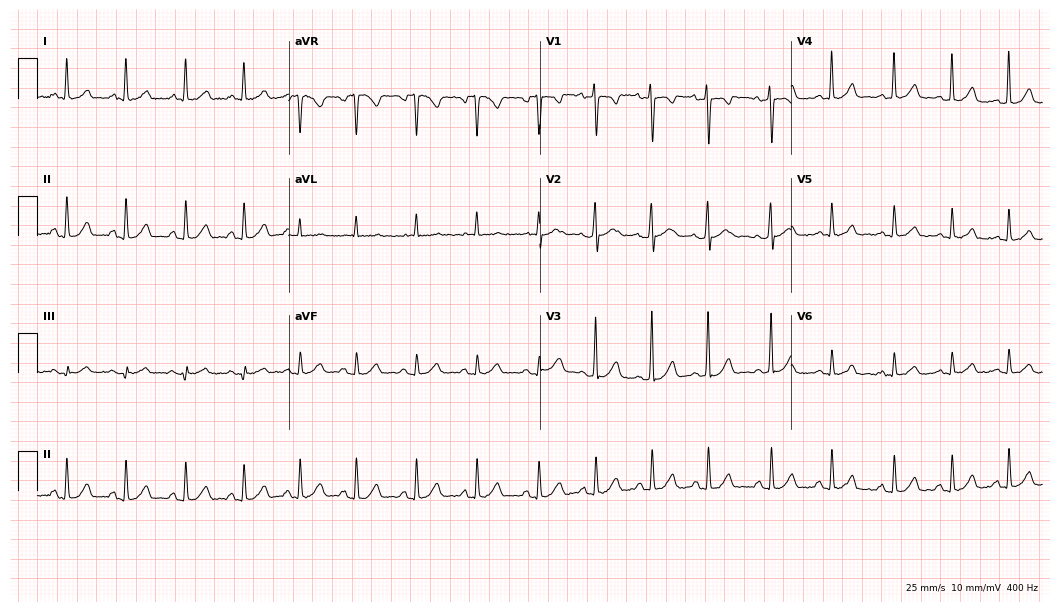
Resting 12-lead electrocardiogram. Patient: a female, 31 years old. Read as a normal ECG.